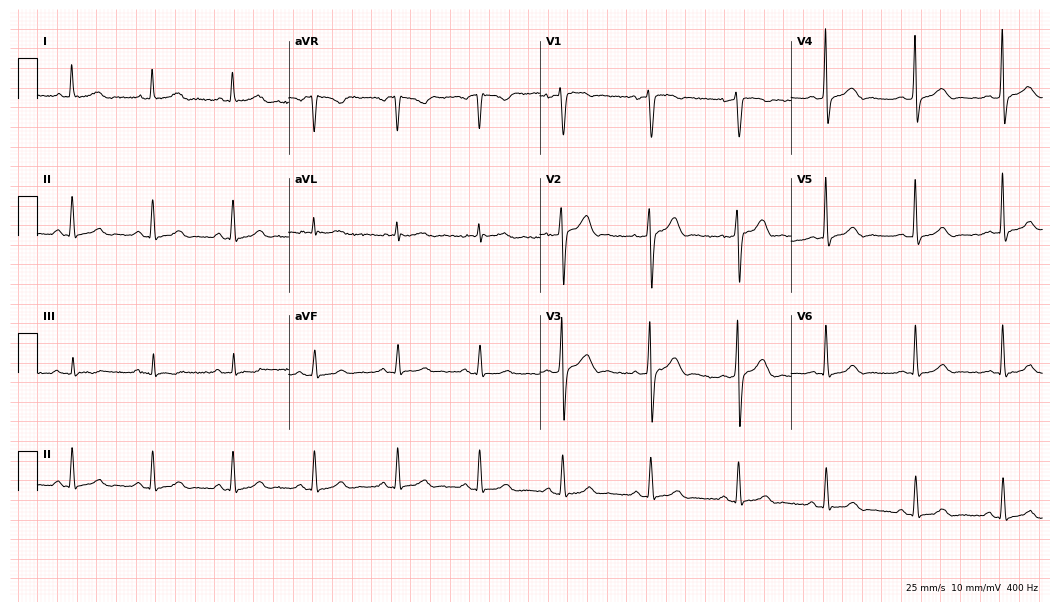
12-lead ECG from a 39-year-old male patient. Labelled as a normal ECG.